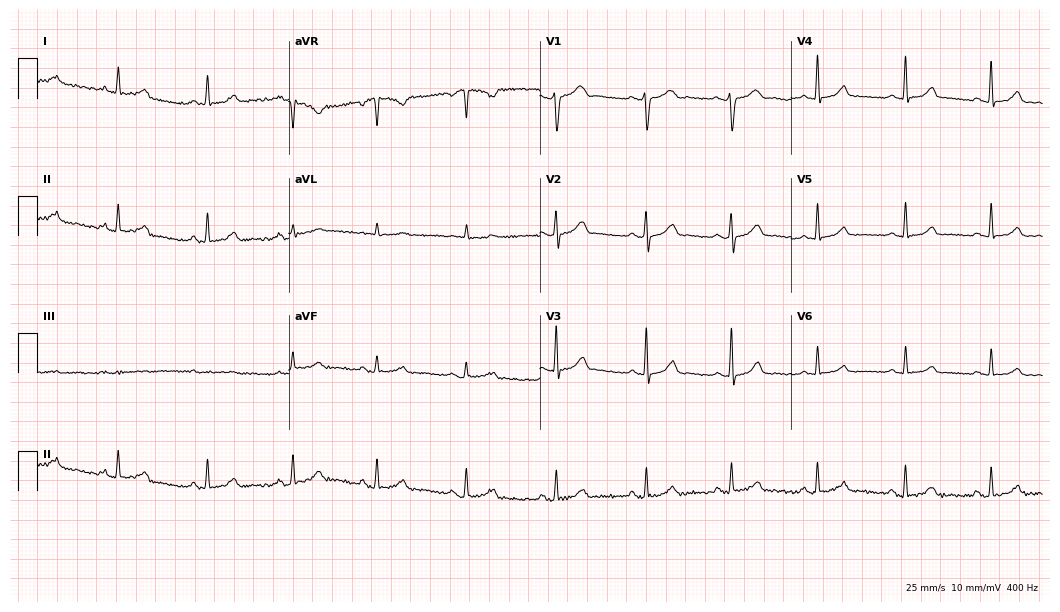
12-lead ECG from a female patient, 36 years old (10.2-second recording at 400 Hz). Recorded interpretation: within normal limits.